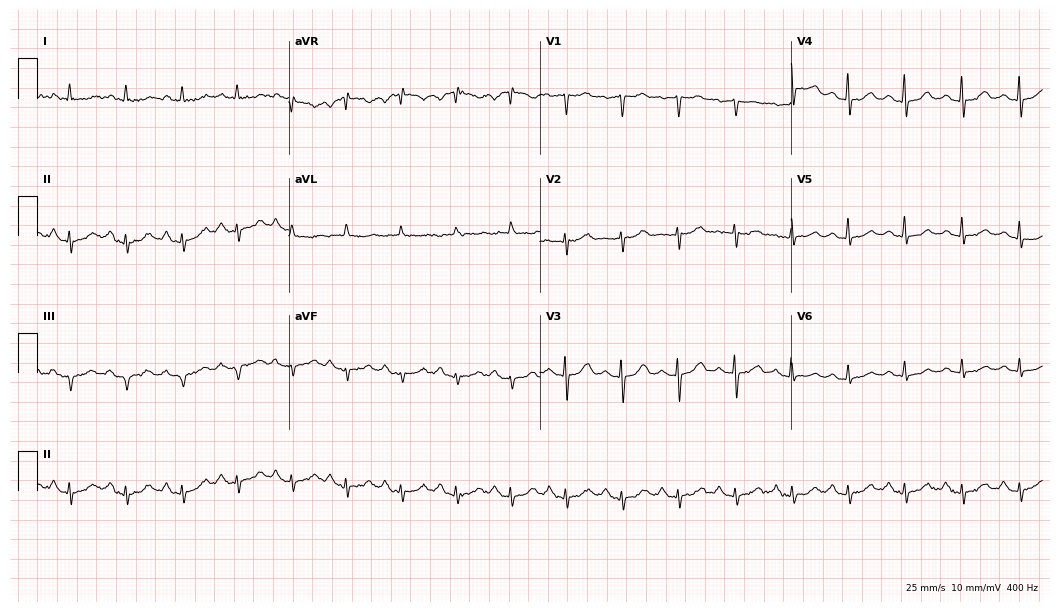
Standard 12-lead ECG recorded from a 72-year-old woman. The tracing shows sinus tachycardia (a sinus rate of 100 beats per minute or more).